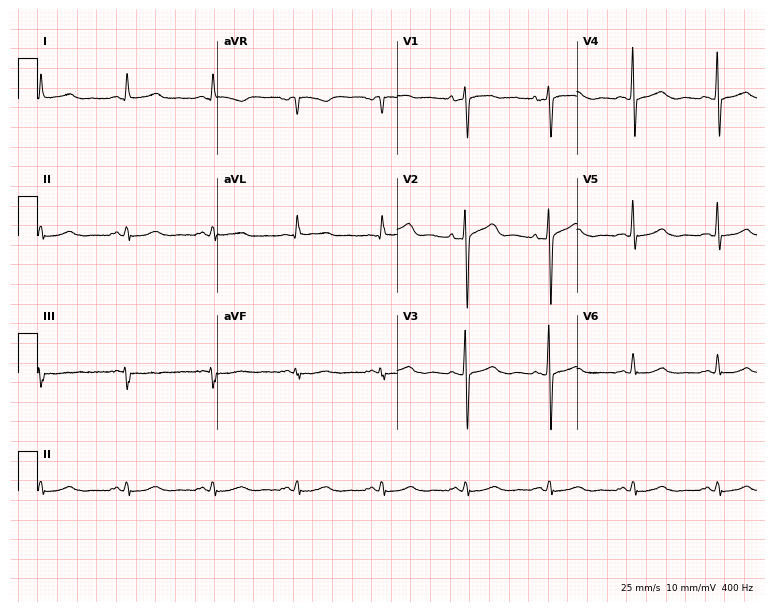
Standard 12-lead ECG recorded from a 56-year-old woman (7.3-second recording at 400 Hz). None of these six findings is recorded: first-degree AV block, right bundle branch block, left bundle branch block, sinus bradycardia, atrial fibrillation, sinus tachycardia.